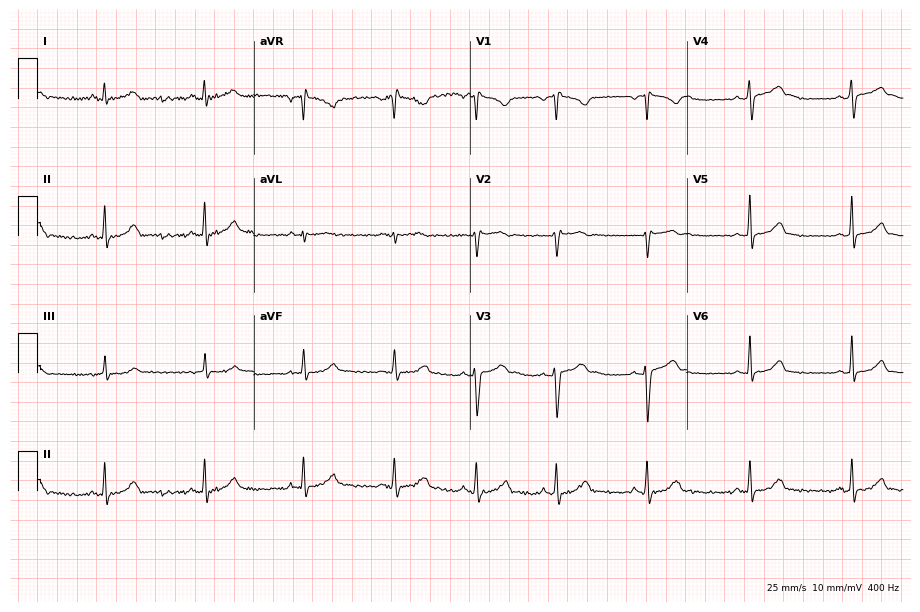
Resting 12-lead electrocardiogram (8.8-second recording at 400 Hz). Patient: a 29-year-old female. None of these six findings is recorded: first-degree AV block, right bundle branch block, left bundle branch block, sinus bradycardia, atrial fibrillation, sinus tachycardia. Only these six findings were labelled.